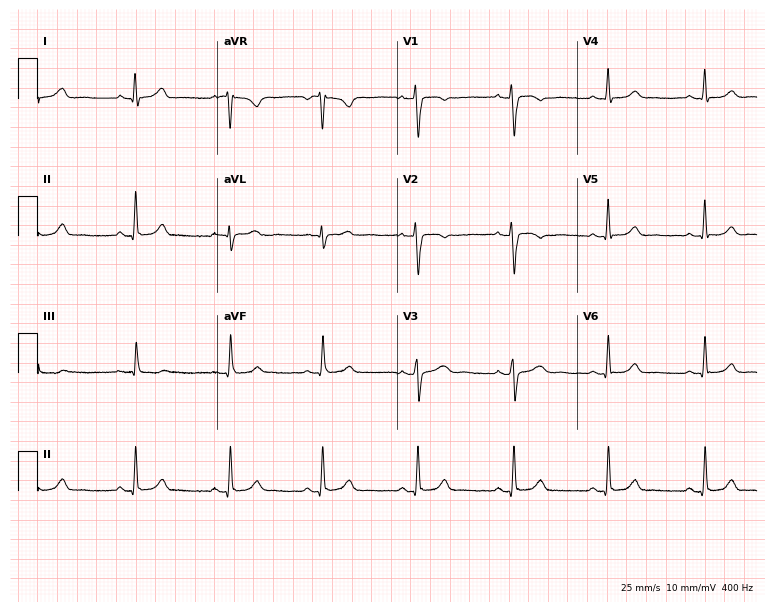
12-lead ECG from a female patient, 38 years old (7.3-second recording at 400 Hz). Recorded interpretation: within normal limits.